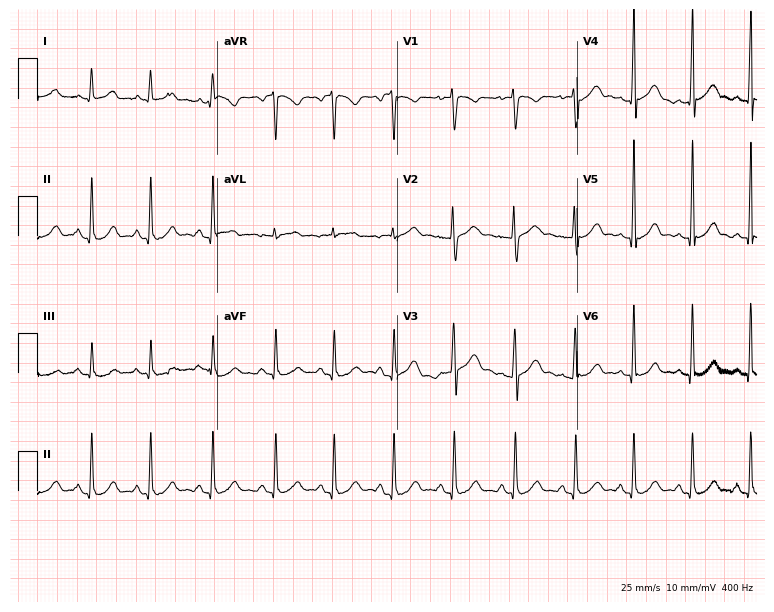
12-lead ECG from a woman, 18 years old (7.3-second recording at 400 Hz). No first-degree AV block, right bundle branch block, left bundle branch block, sinus bradycardia, atrial fibrillation or sinus tachycardia recorded for this tracing.